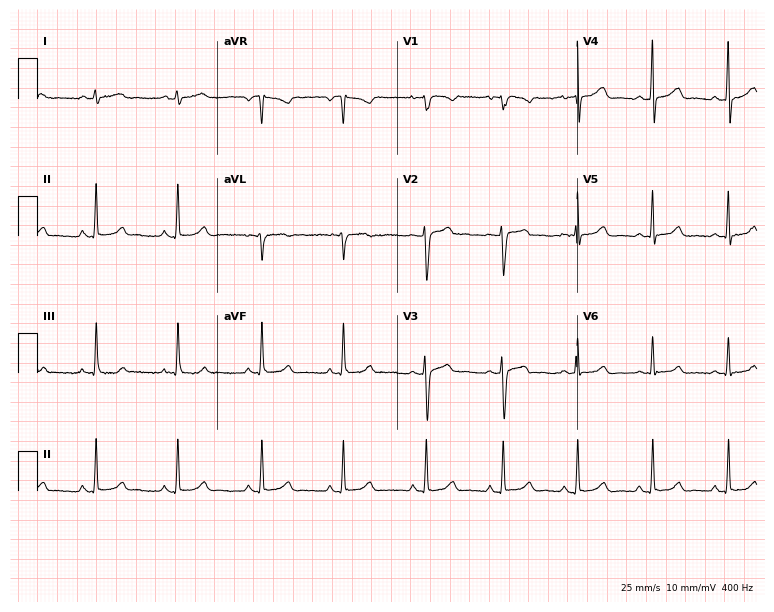
Electrocardiogram, a female patient, 19 years old. Overall reading on record: normal ECG.